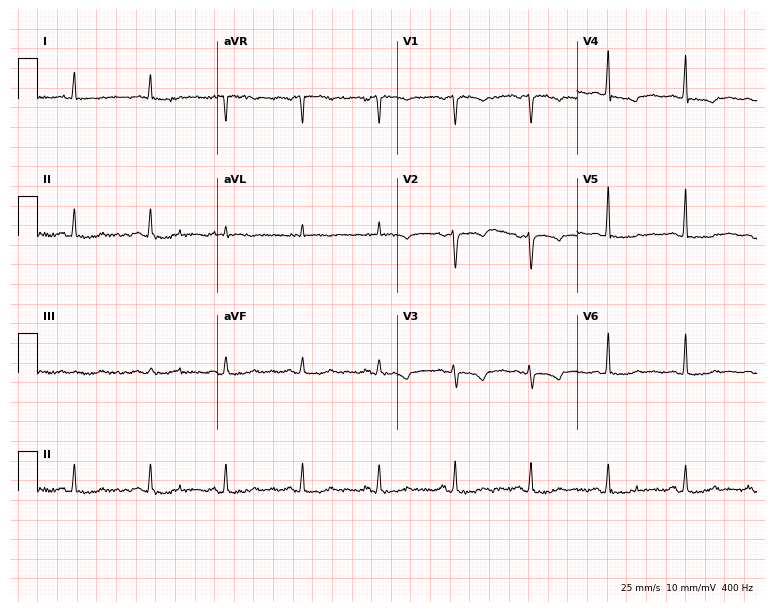
12-lead ECG (7.3-second recording at 400 Hz) from a female patient, 64 years old. Screened for six findings — first-degree AV block, right bundle branch block, left bundle branch block, sinus bradycardia, atrial fibrillation, sinus tachycardia — none is recorded.